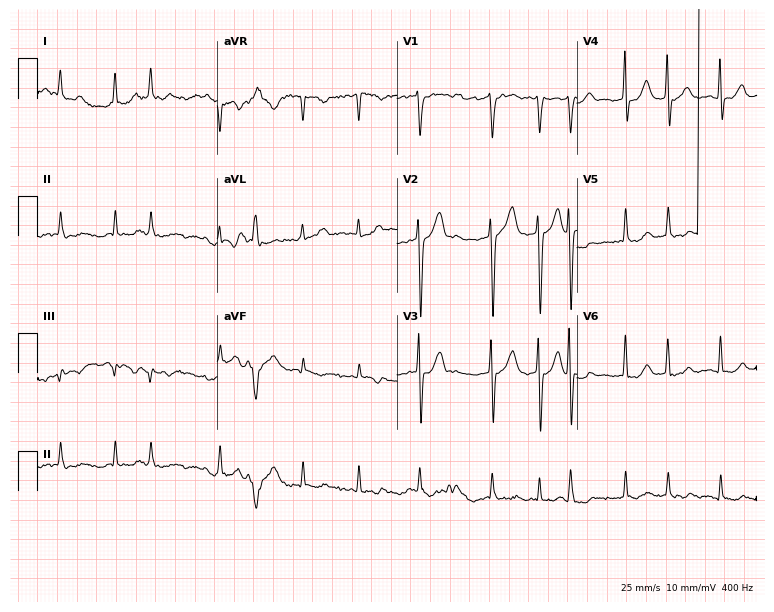
Standard 12-lead ECG recorded from a 66-year-old male patient. The tracing shows atrial fibrillation.